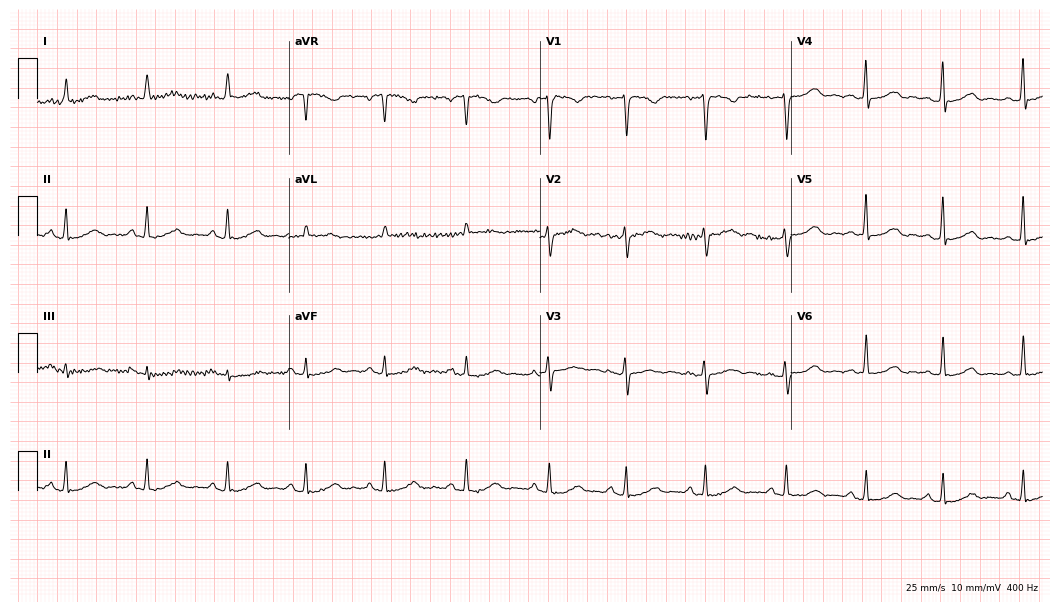
12-lead ECG from a 66-year-old female (10.2-second recording at 400 Hz). Recorded interpretation: within normal limits.